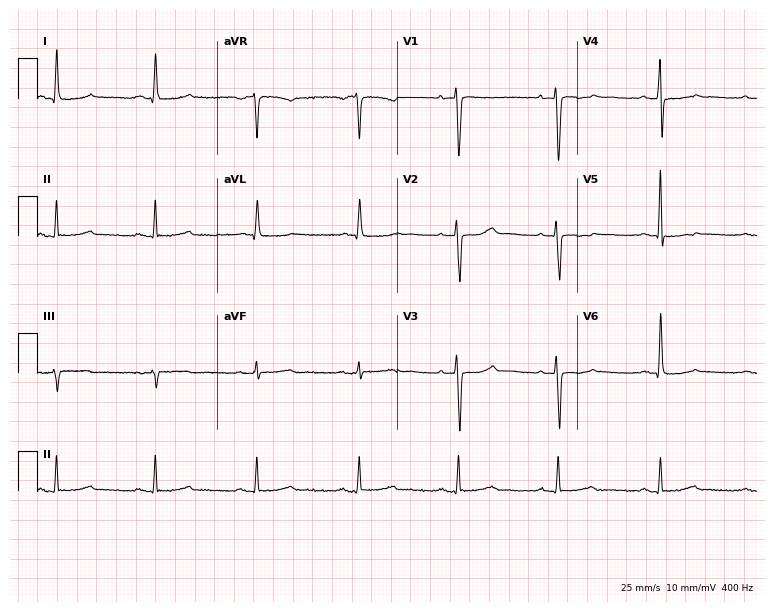
Resting 12-lead electrocardiogram (7.3-second recording at 400 Hz). Patient: a woman, 68 years old. None of these six findings is recorded: first-degree AV block, right bundle branch block, left bundle branch block, sinus bradycardia, atrial fibrillation, sinus tachycardia. Findings outside these six are not listed.